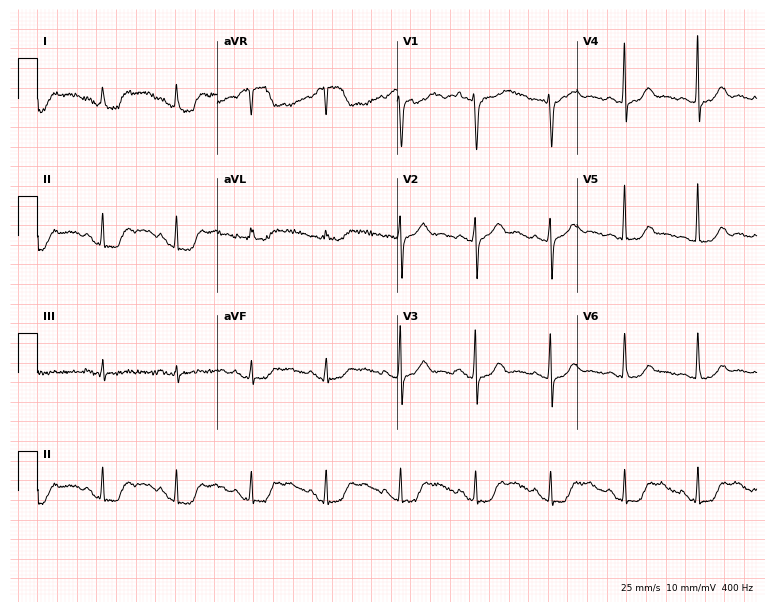
Resting 12-lead electrocardiogram (7.3-second recording at 400 Hz). Patient: a female, 79 years old. None of these six findings is recorded: first-degree AV block, right bundle branch block, left bundle branch block, sinus bradycardia, atrial fibrillation, sinus tachycardia.